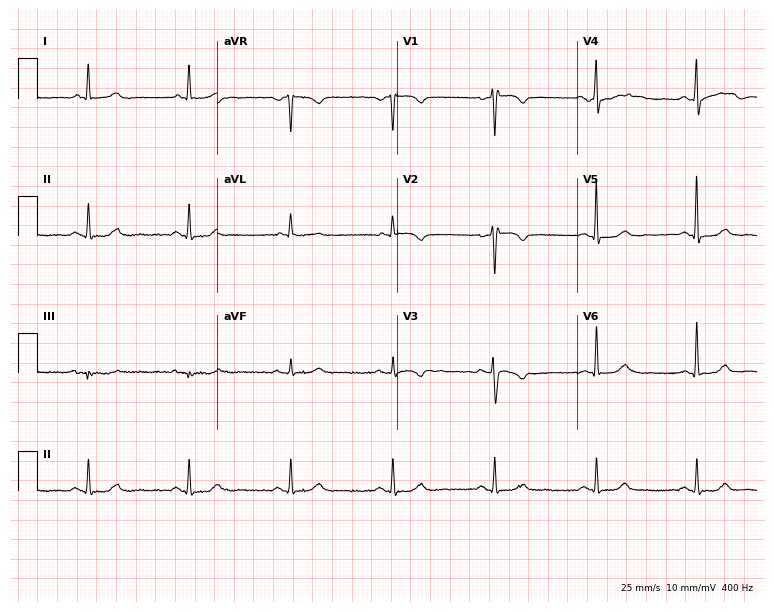
Standard 12-lead ECG recorded from a female, 62 years old (7.3-second recording at 400 Hz). None of these six findings is recorded: first-degree AV block, right bundle branch block, left bundle branch block, sinus bradycardia, atrial fibrillation, sinus tachycardia. Other findings, if any, are not listed.